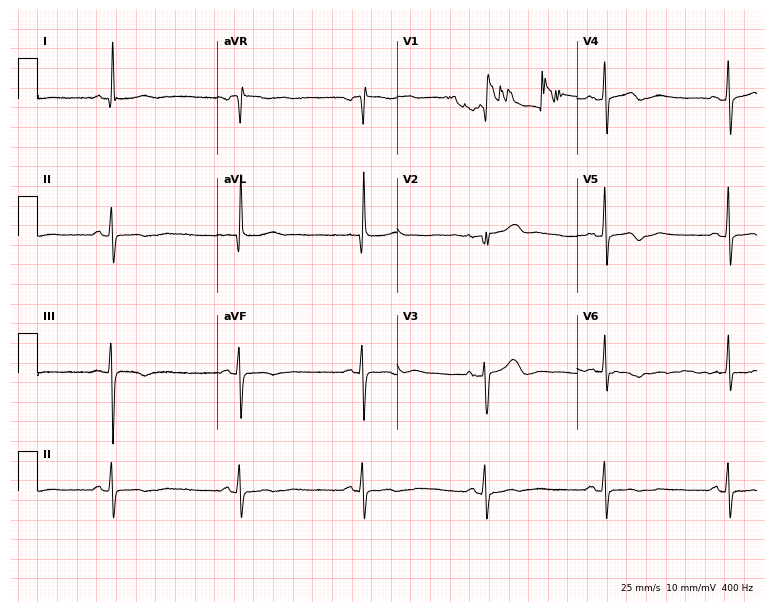
Resting 12-lead electrocardiogram. Patient: a 66-year-old female. The tracing shows sinus bradycardia (a sinus rate of 50 beats per minute or less).